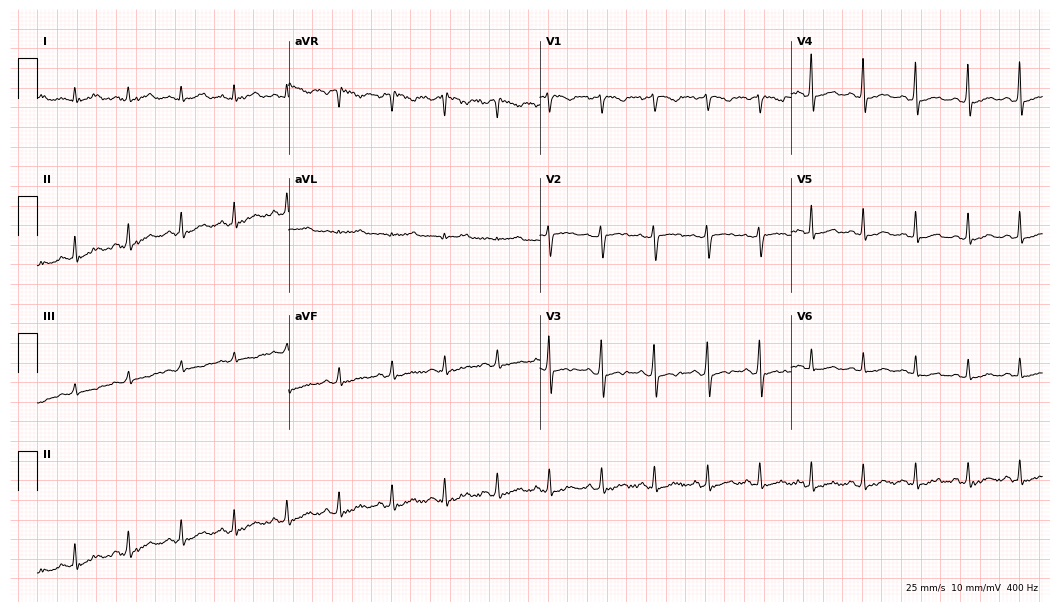
12-lead ECG from a female patient, 40 years old. Shows sinus tachycardia (a sinus rate of 100 beats per minute or more).